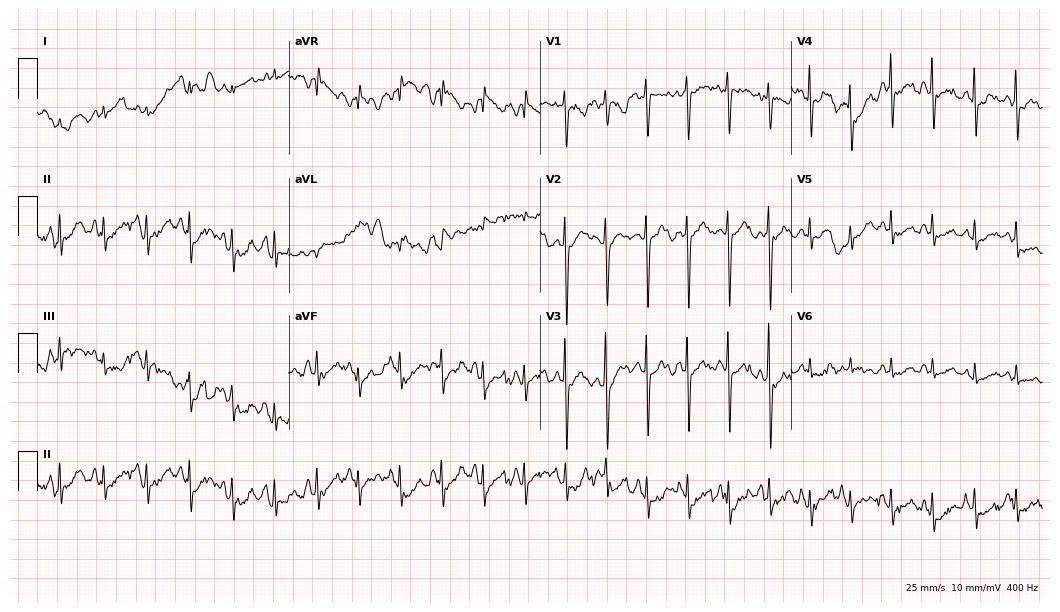
Resting 12-lead electrocardiogram. Patient: a 17-year-old male. None of these six findings is recorded: first-degree AV block, right bundle branch block (RBBB), left bundle branch block (LBBB), sinus bradycardia, atrial fibrillation (AF), sinus tachycardia.